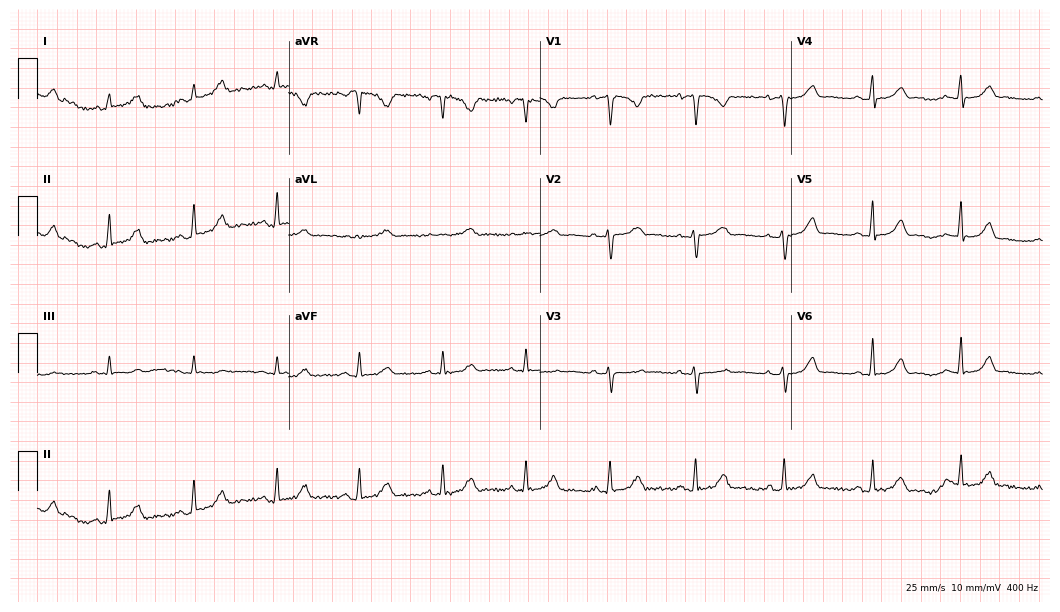
12-lead ECG from a female patient, 46 years old (10.2-second recording at 400 Hz). Recorded interpretation: within normal limits.